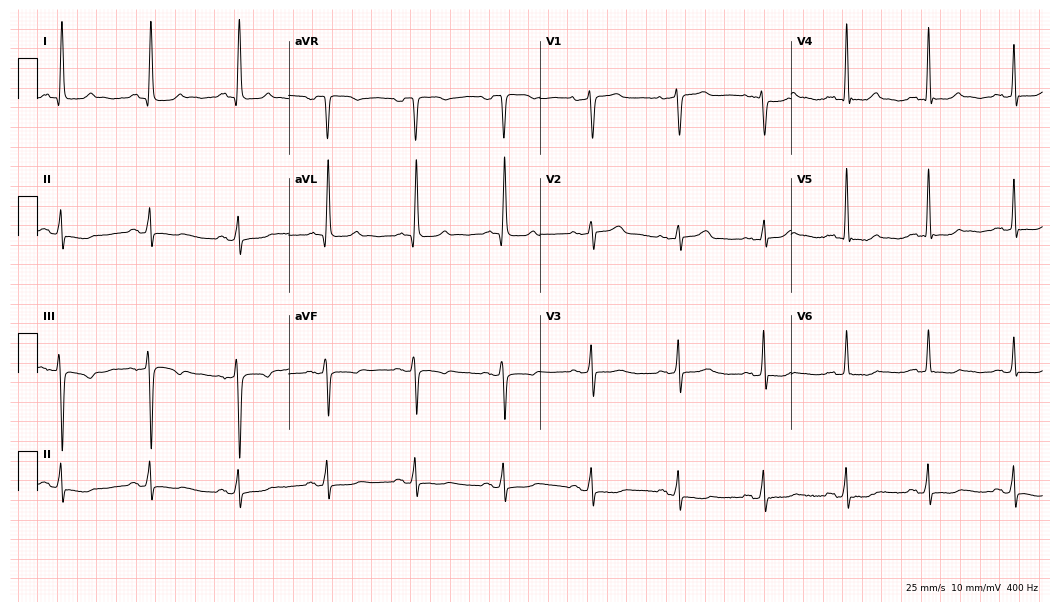
ECG — a female patient, 68 years old. Screened for six findings — first-degree AV block, right bundle branch block, left bundle branch block, sinus bradycardia, atrial fibrillation, sinus tachycardia — none is recorded. Findings outside these six are not listed.